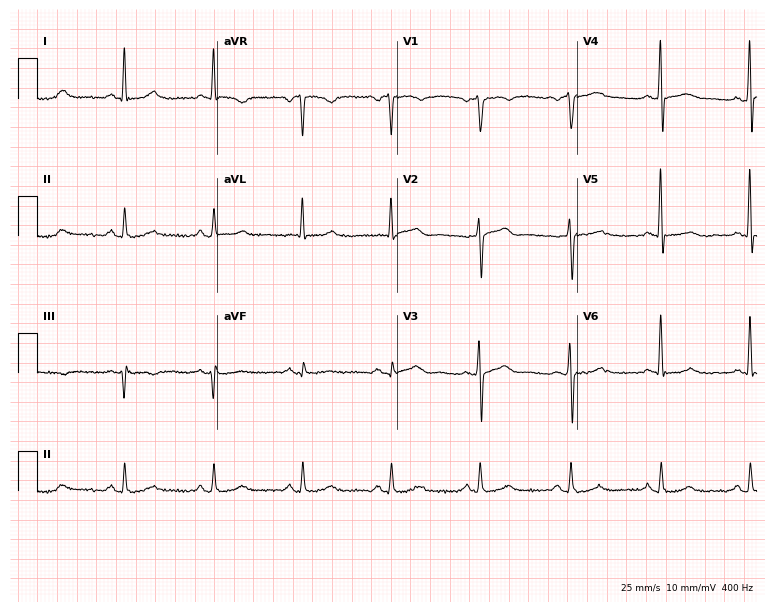
Resting 12-lead electrocardiogram (7.3-second recording at 400 Hz). Patient: a male, 73 years old. Read as a normal ECG.